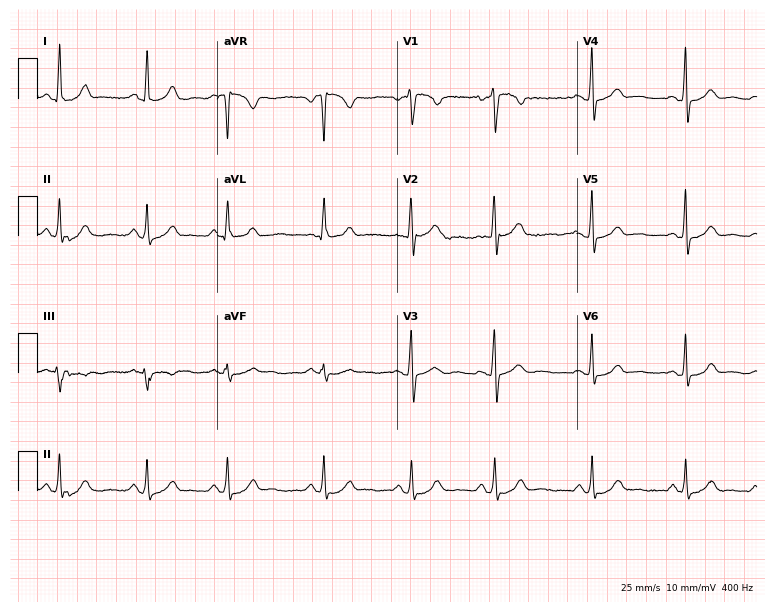
12-lead ECG from a female, 40 years old. Recorded interpretation: within normal limits.